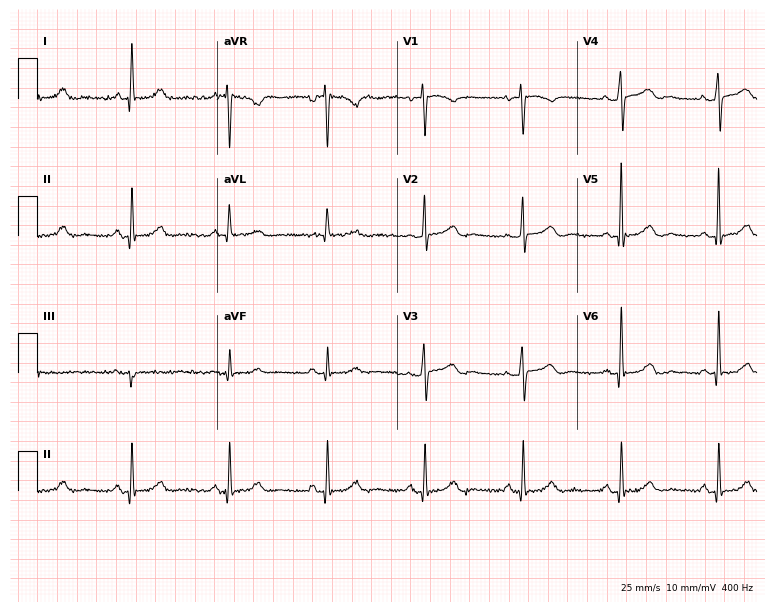
Electrocardiogram, a 68-year-old female. Overall reading on record: normal ECG.